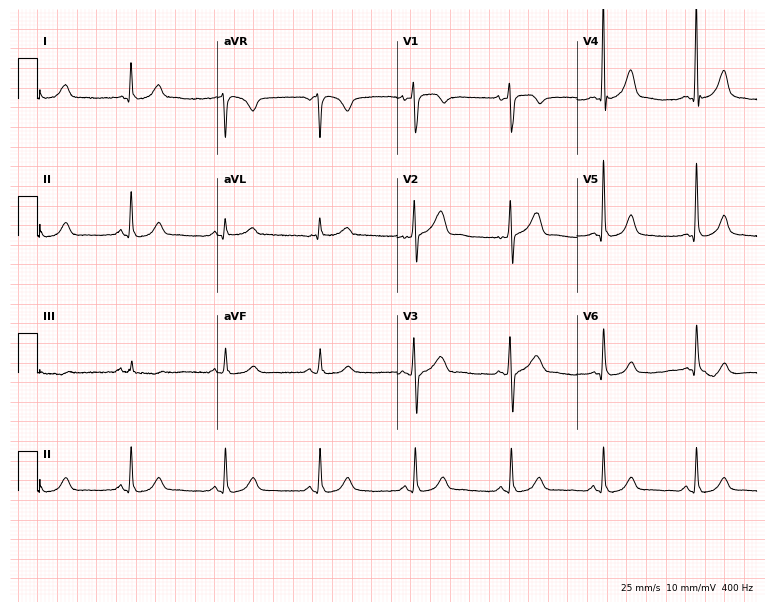
ECG — a 58-year-old male. Labelled as a normal ECG.